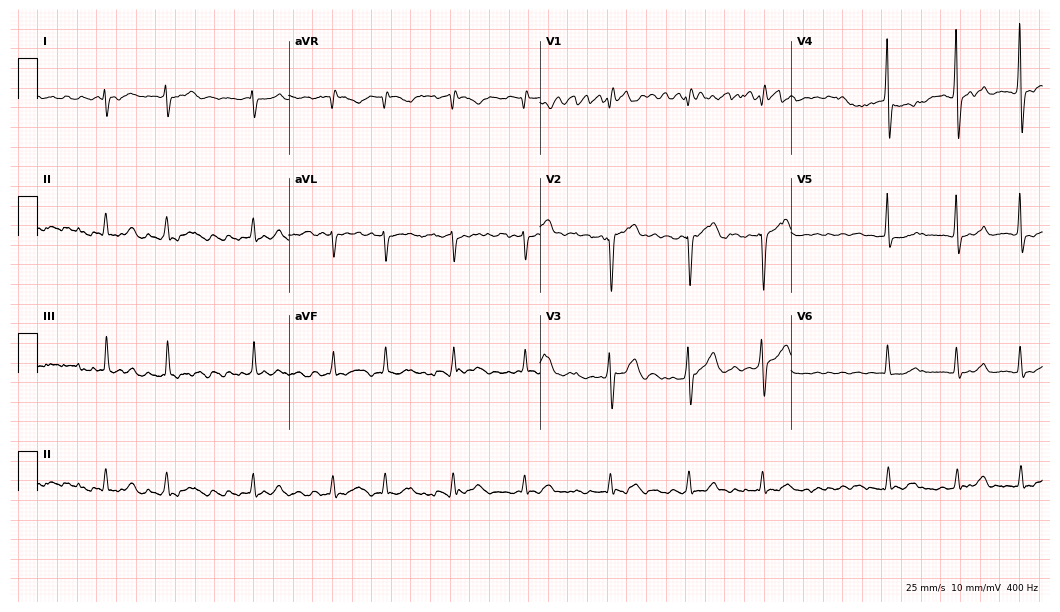
Standard 12-lead ECG recorded from an 82-year-old man (10.2-second recording at 400 Hz). The tracing shows atrial fibrillation.